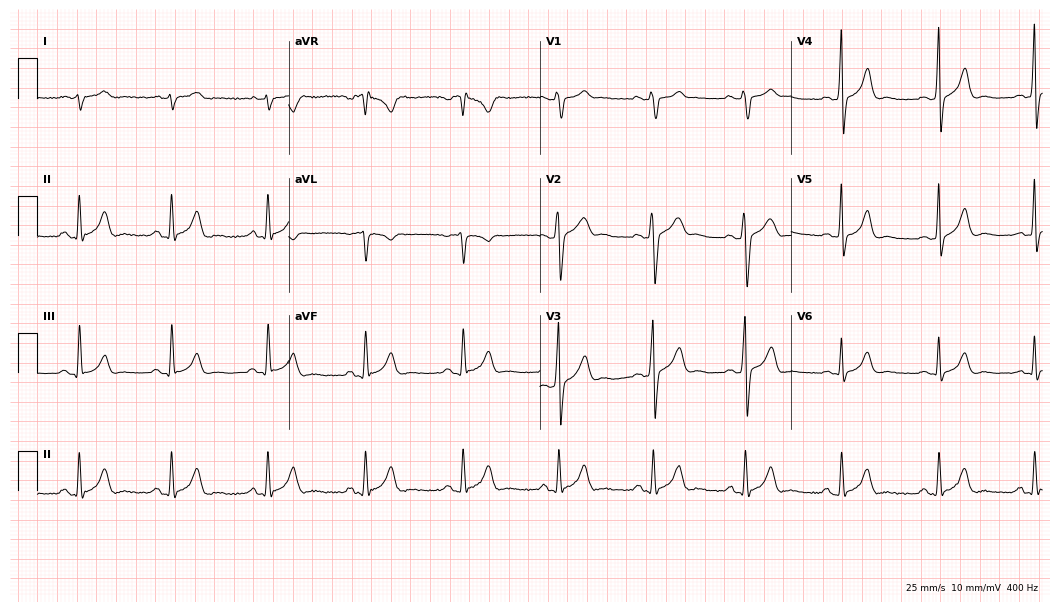
Resting 12-lead electrocardiogram (10.2-second recording at 400 Hz). Patient: a 31-year-old male. None of these six findings is recorded: first-degree AV block, right bundle branch block (RBBB), left bundle branch block (LBBB), sinus bradycardia, atrial fibrillation (AF), sinus tachycardia.